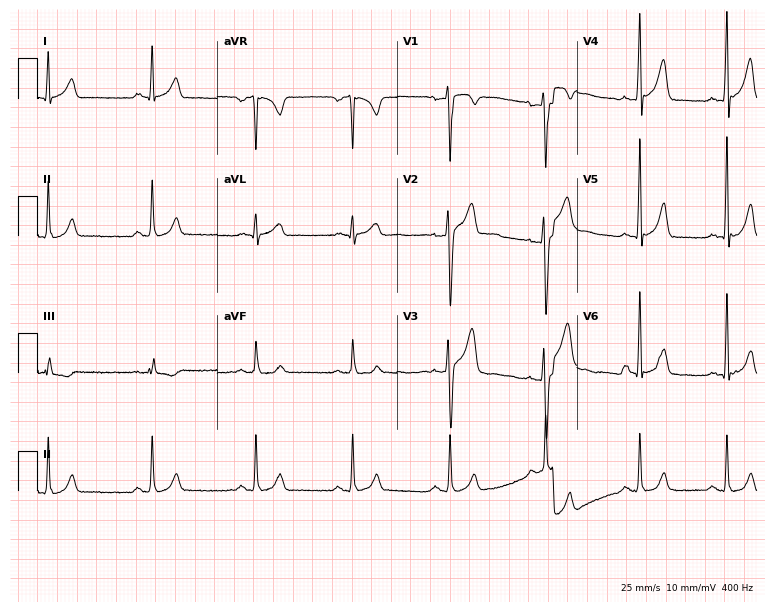
Resting 12-lead electrocardiogram. Patient: a male, 34 years old. None of these six findings is recorded: first-degree AV block, right bundle branch block, left bundle branch block, sinus bradycardia, atrial fibrillation, sinus tachycardia. Findings outside these six are not listed.